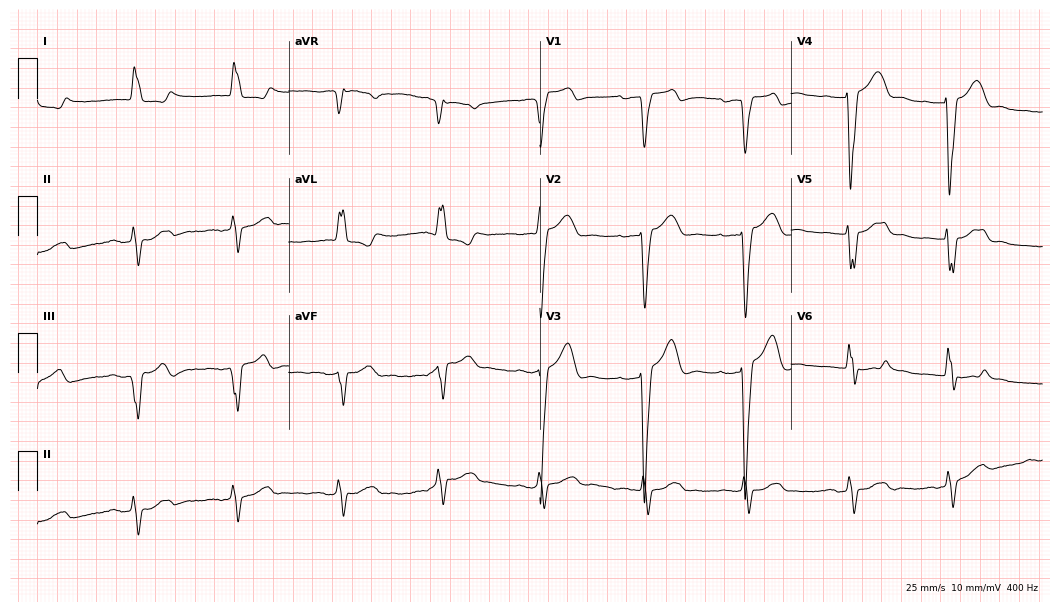
12-lead ECG (10.2-second recording at 400 Hz) from an 83-year-old female patient. Screened for six findings — first-degree AV block, right bundle branch block, left bundle branch block, sinus bradycardia, atrial fibrillation, sinus tachycardia — none is recorded. Only these six findings were labelled.